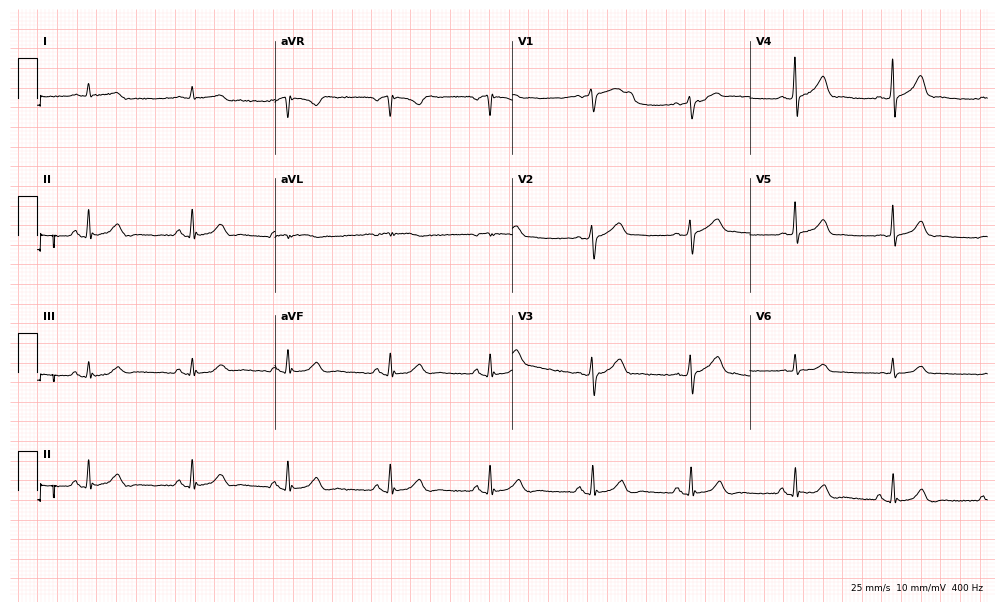
Electrocardiogram (9.7-second recording at 400 Hz), a 74-year-old male patient. Overall reading on record: normal ECG.